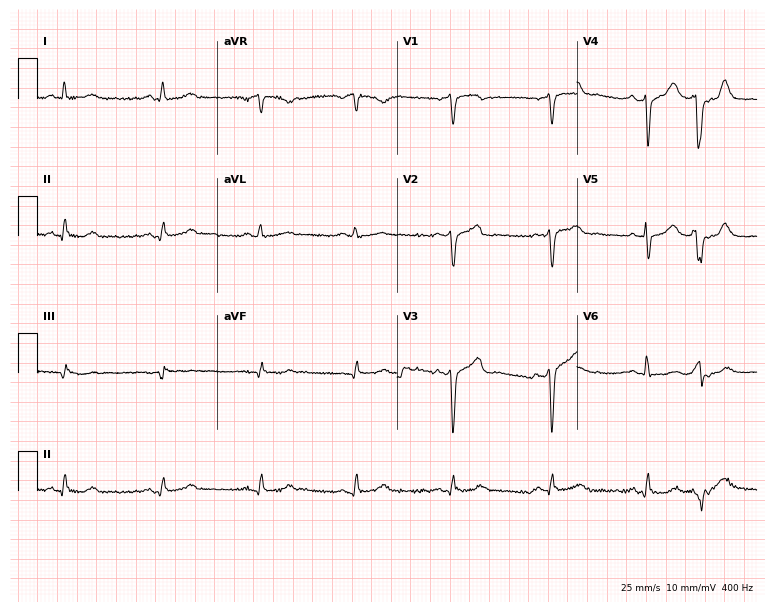
ECG — a 73-year-old man. Screened for six findings — first-degree AV block, right bundle branch block, left bundle branch block, sinus bradycardia, atrial fibrillation, sinus tachycardia — none is recorded.